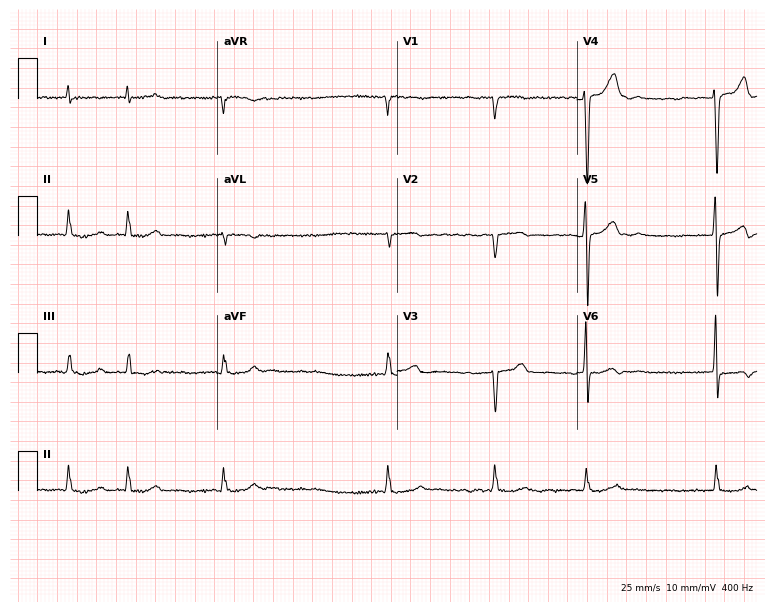
Electrocardiogram (7.3-second recording at 400 Hz), an 85-year-old man. Interpretation includes atrial fibrillation.